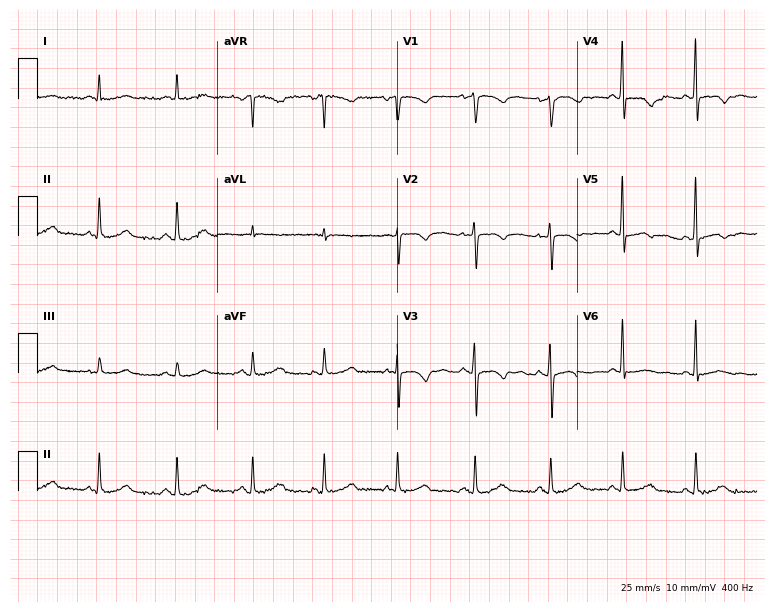
12-lead ECG from a woman, 51 years old. No first-degree AV block, right bundle branch block, left bundle branch block, sinus bradycardia, atrial fibrillation or sinus tachycardia recorded for this tracing. Other findings, if any, are not listed.